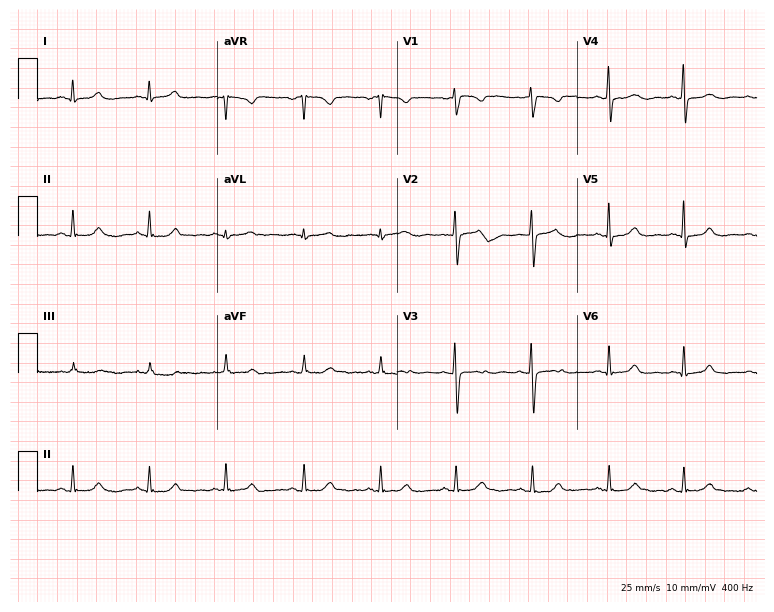
Standard 12-lead ECG recorded from a female, 54 years old. Read as a normal ECG.